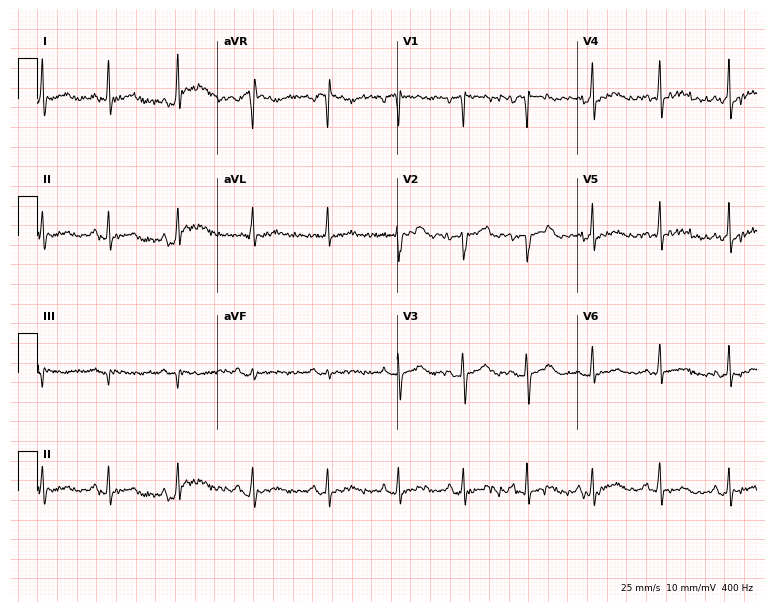
Standard 12-lead ECG recorded from a woman, 35 years old. None of these six findings is recorded: first-degree AV block, right bundle branch block (RBBB), left bundle branch block (LBBB), sinus bradycardia, atrial fibrillation (AF), sinus tachycardia.